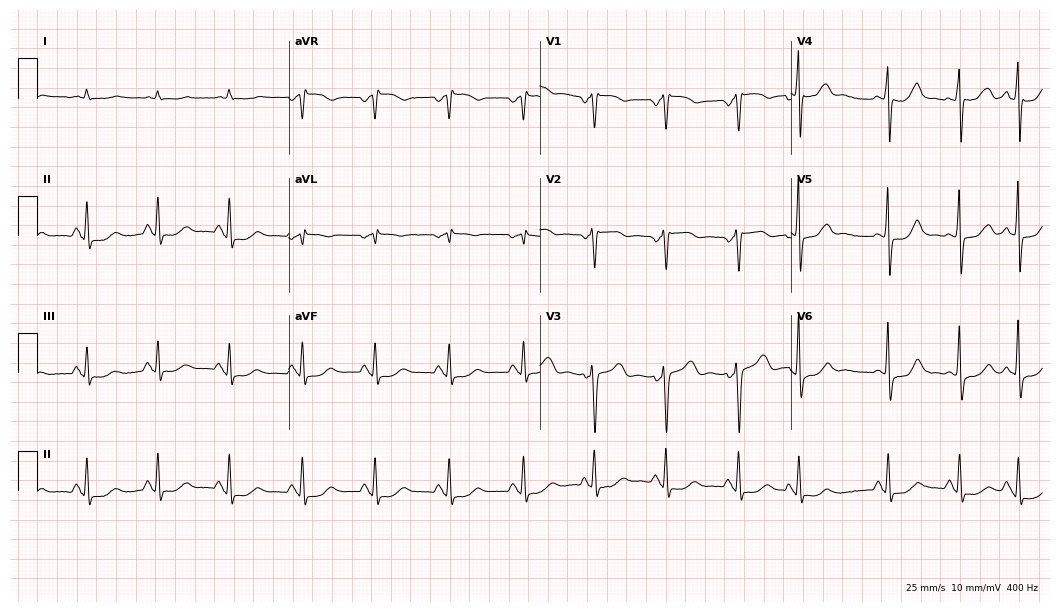
Electrocardiogram (10.2-second recording at 400 Hz), a 71-year-old male patient. Of the six screened findings (first-degree AV block, right bundle branch block, left bundle branch block, sinus bradycardia, atrial fibrillation, sinus tachycardia), none is recorded. Other findings, if any, are not listed.